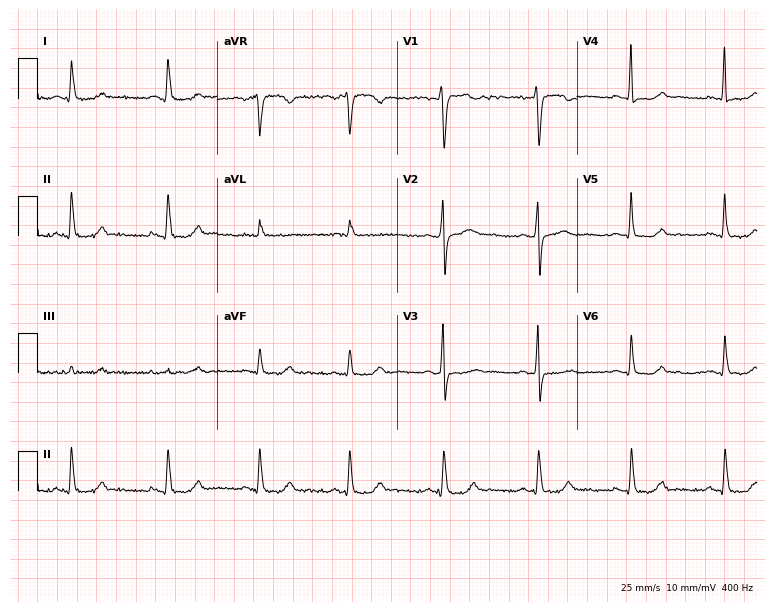
Electrocardiogram, a female, 45 years old. Overall reading on record: normal ECG.